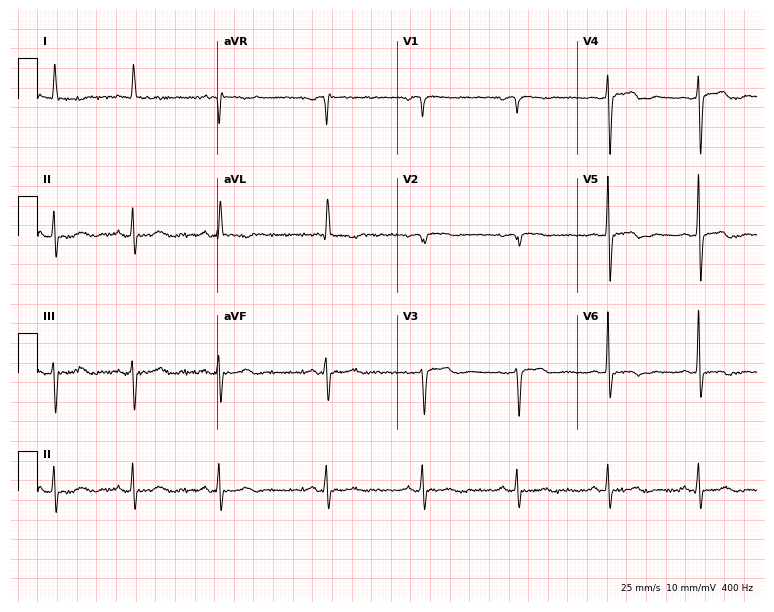
Standard 12-lead ECG recorded from a woman, 55 years old (7.3-second recording at 400 Hz). None of these six findings is recorded: first-degree AV block, right bundle branch block (RBBB), left bundle branch block (LBBB), sinus bradycardia, atrial fibrillation (AF), sinus tachycardia. Findings outside these six are not listed.